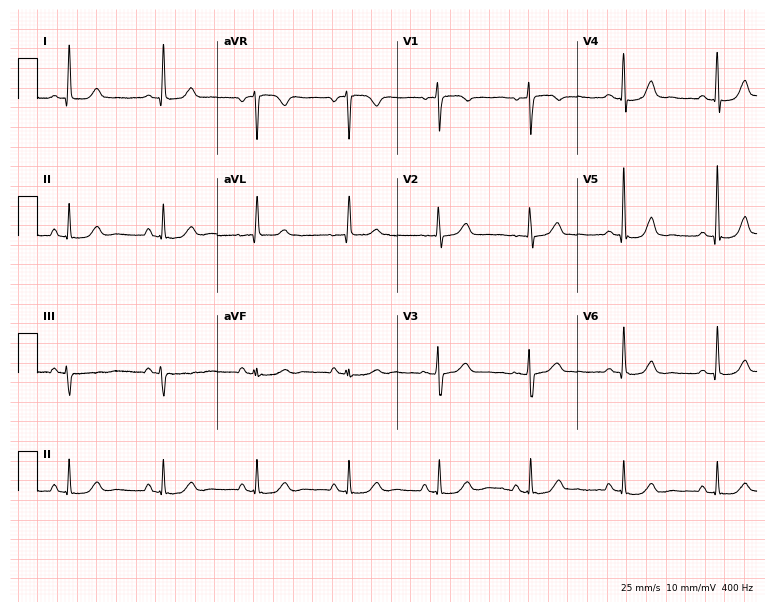
Standard 12-lead ECG recorded from a female, 60 years old. Read as a normal ECG.